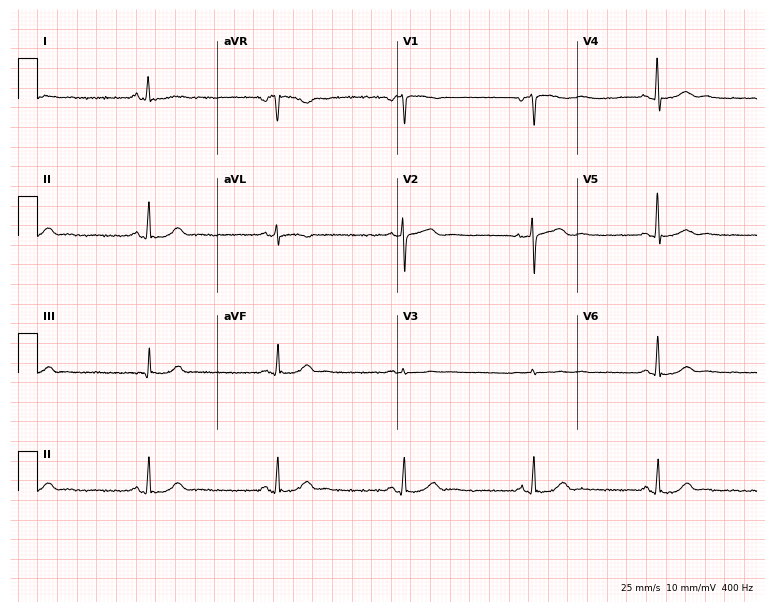
12-lead ECG from a 69-year-old woman (7.3-second recording at 400 Hz). Shows sinus bradycardia (a sinus rate of 50 beats per minute or less).